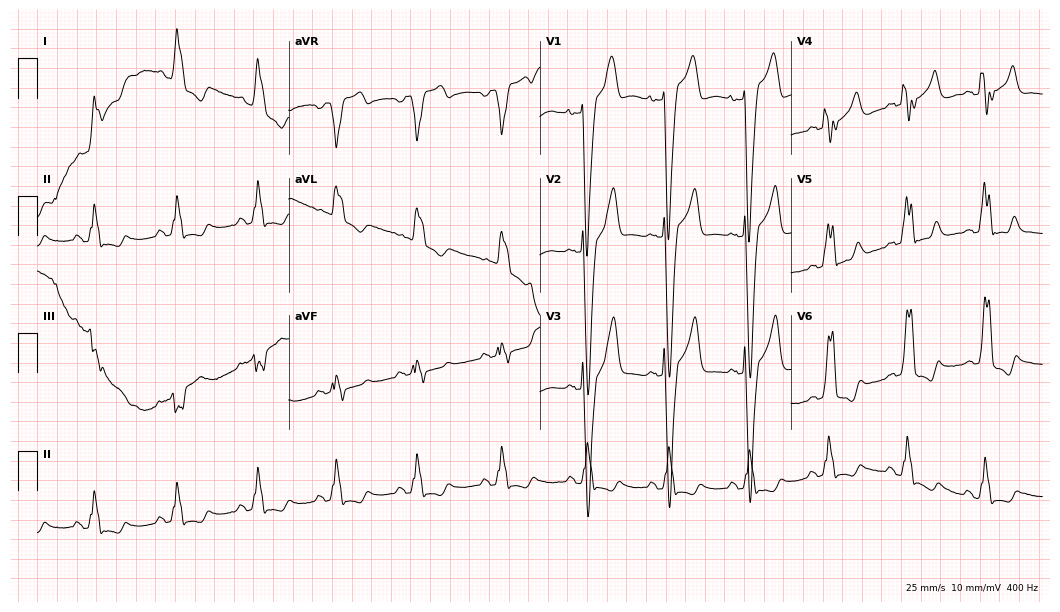
12-lead ECG from a man, 51 years old (10.2-second recording at 400 Hz). Shows left bundle branch block (LBBB).